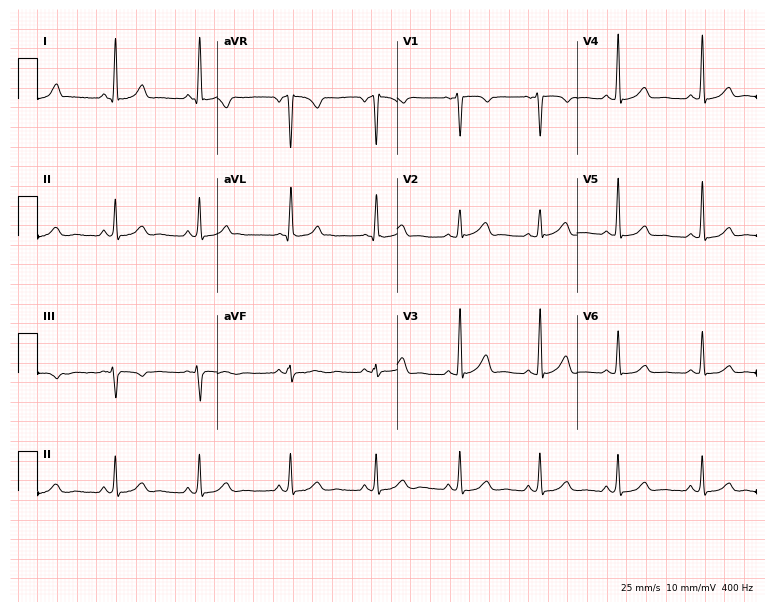
Resting 12-lead electrocardiogram. Patient: a female, 38 years old. None of these six findings is recorded: first-degree AV block, right bundle branch block, left bundle branch block, sinus bradycardia, atrial fibrillation, sinus tachycardia.